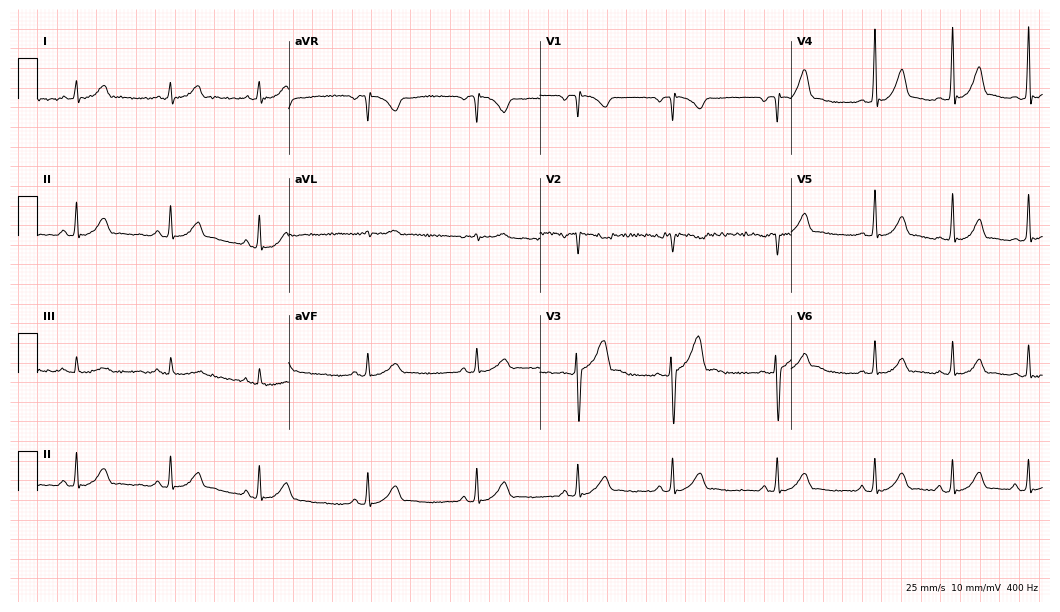
Resting 12-lead electrocardiogram. Patient: a male, 19 years old. Read as a normal ECG.